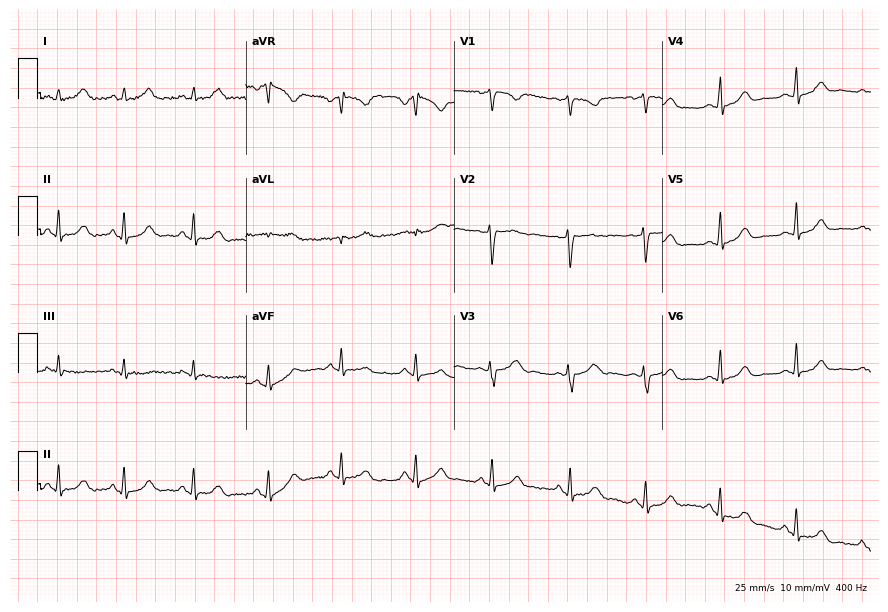
Resting 12-lead electrocardiogram (8.5-second recording at 400 Hz). Patient: a 31-year-old woman. Read as a normal ECG.